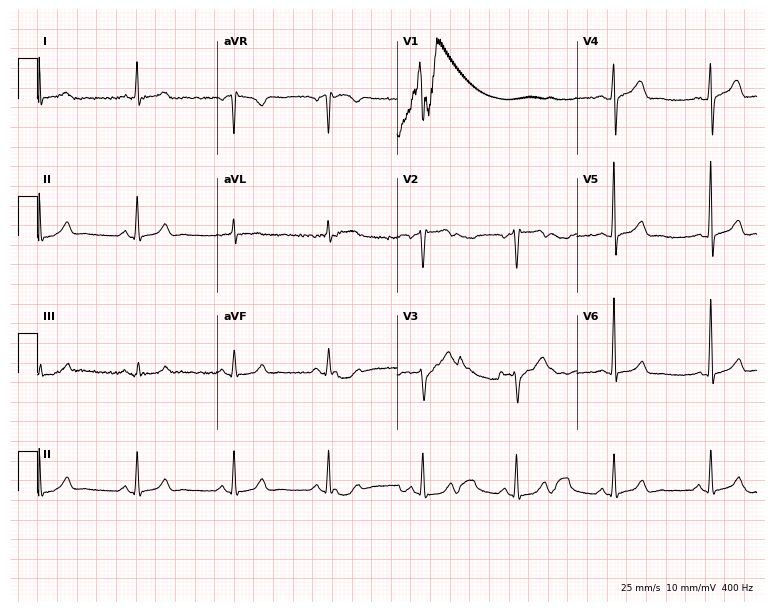
Resting 12-lead electrocardiogram (7.3-second recording at 400 Hz). Patient: a man, 37 years old. None of these six findings is recorded: first-degree AV block, right bundle branch block (RBBB), left bundle branch block (LBBB), sinus bradycardia, atrial fibrillation (AF), sinus tachycardia.